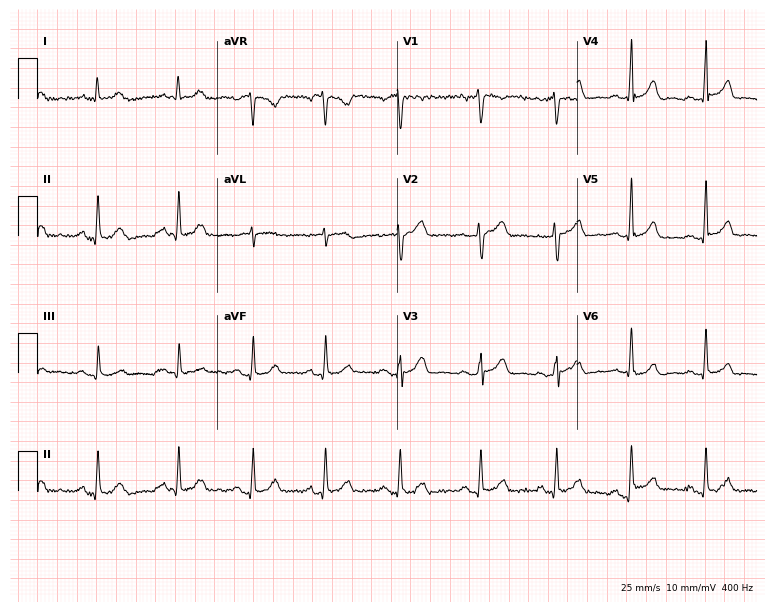
ECG — a 46-year-old woman. Labelled as a normal ECG.